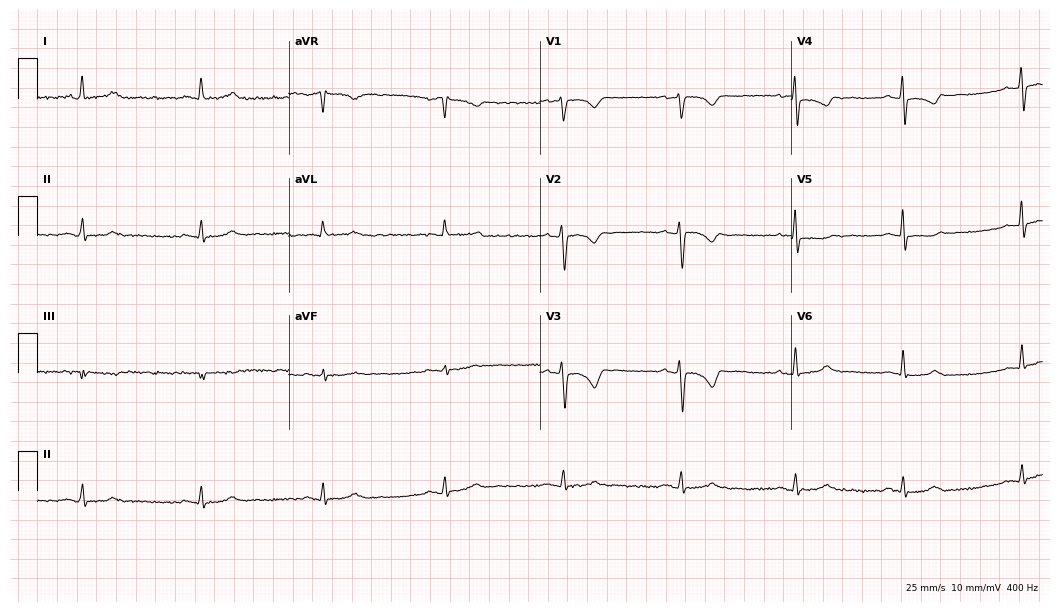
Electrocardiogram, a female patient, 55 years old. Of the six screened findings (first-degree AV block, right bundle branch block, left bundle branch block, sinus bradycardia, atrial fibrillation, sinus tachycardia), none is recorded.